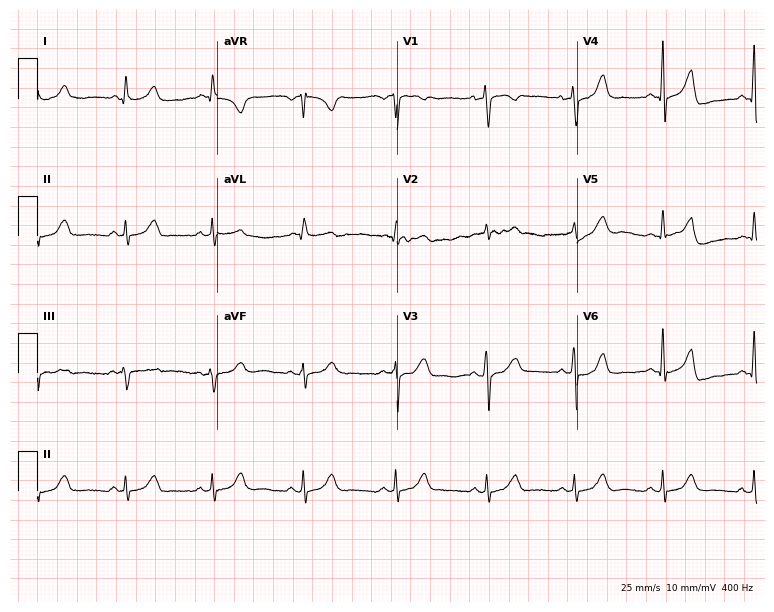
ECG (7.3-second recording at 400 Hz) — a 57-year-old female. Labelled as a normal ECG.